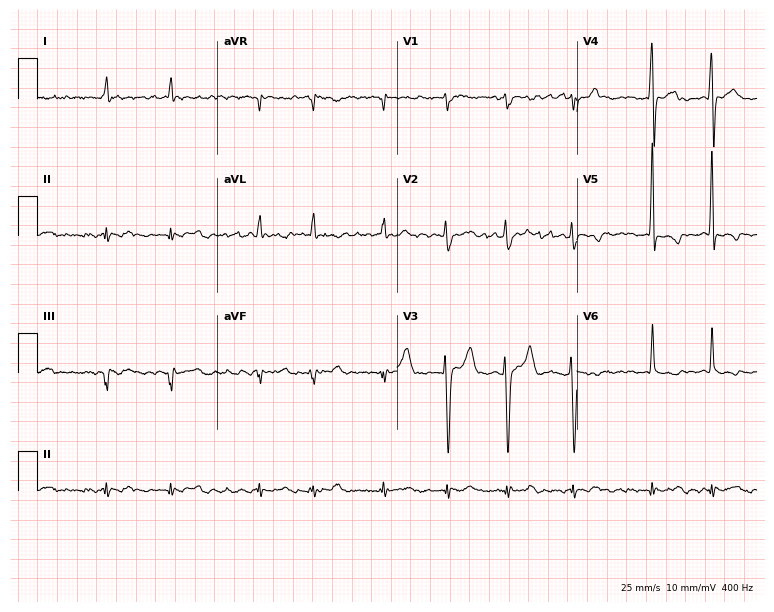
12-lead ECG (7.3-second recording at 400 Hz) from a 56-year-old male patient. Findings include atrial fibrillation.